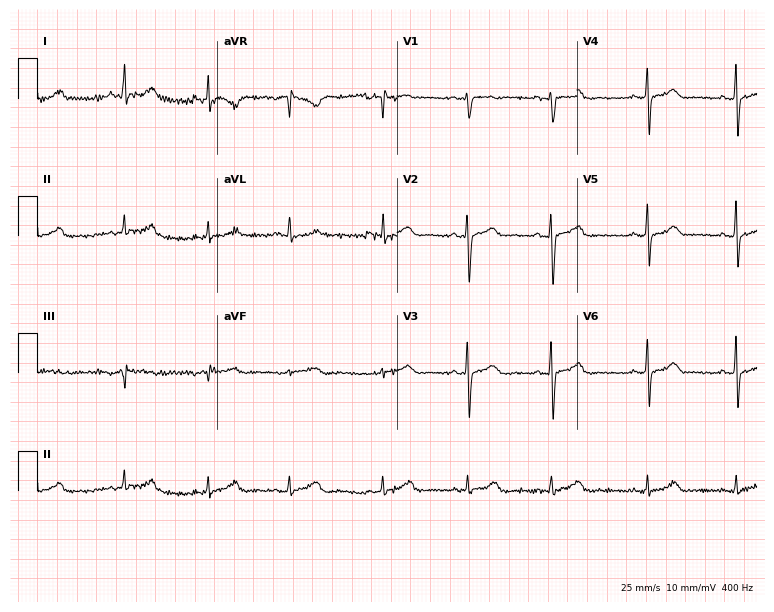
Standard 12-lead ECG recorded from a female, 26 years old. None of these six findings is recorded: first-degree AV block, right bundle branch block (RBBB), left bundle branch block (LBBB), sinus bradycardia, atrial fibrillation (AF), sinus tachycardia.